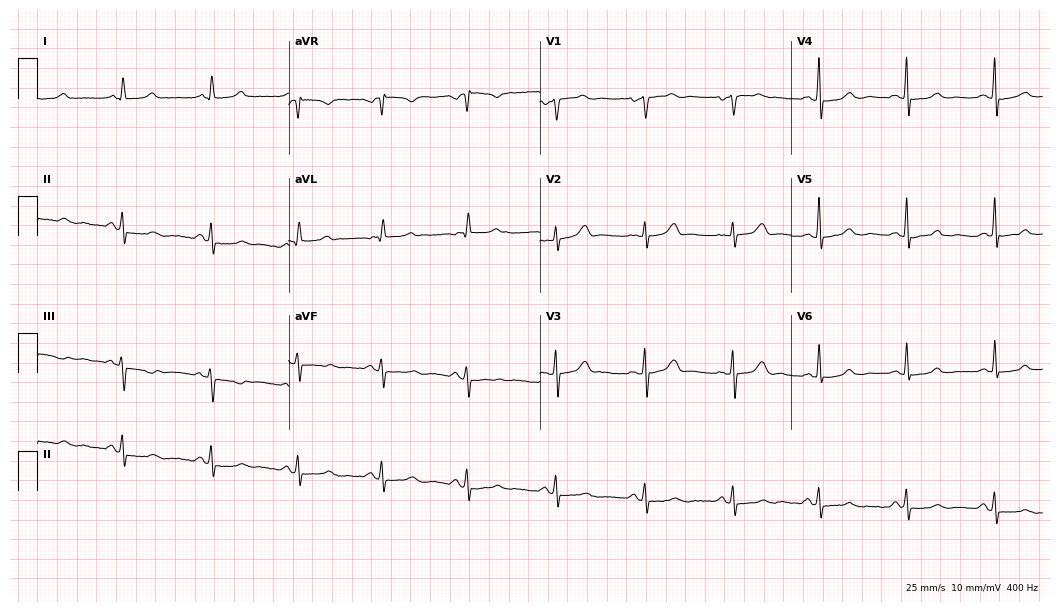
12-lead ECG from a 54-year-old woman. Labelled as a normal ECG.